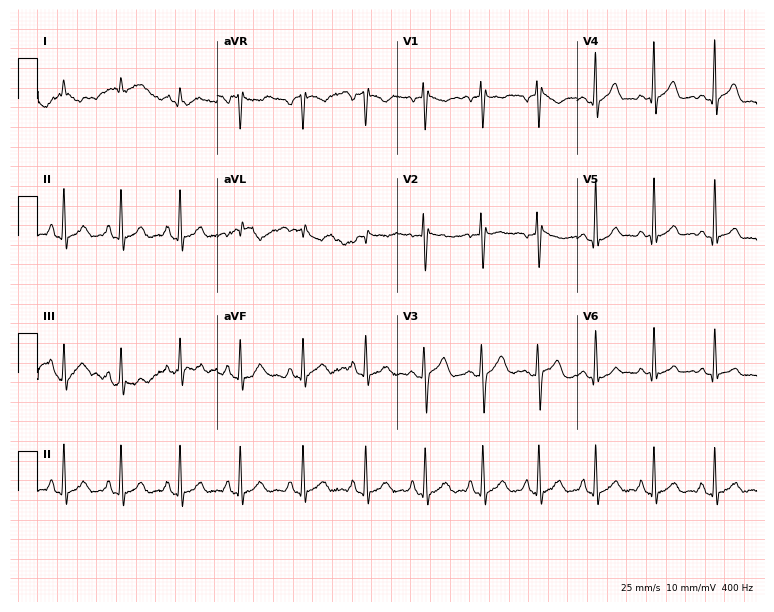
12-lead ECG (7.3-second recording at 400 Hz) from a male patient, 25 years old. Labelled as a normal ECG.